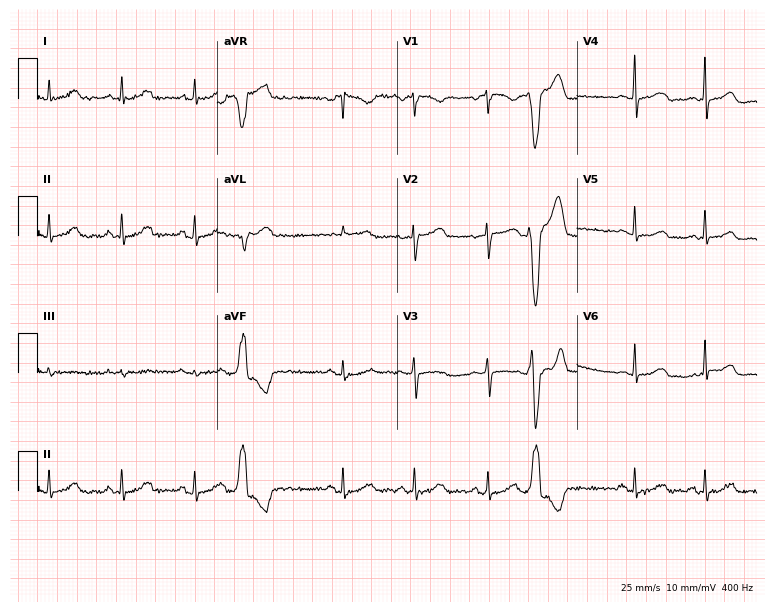
ECG — a female, 45 years old. Screened for six findings — first-degree AV block, right bundle branch block, left bundle branch block, sinus bradycardia, atrial fibrillation, sinus tachycardia — none is recorded.